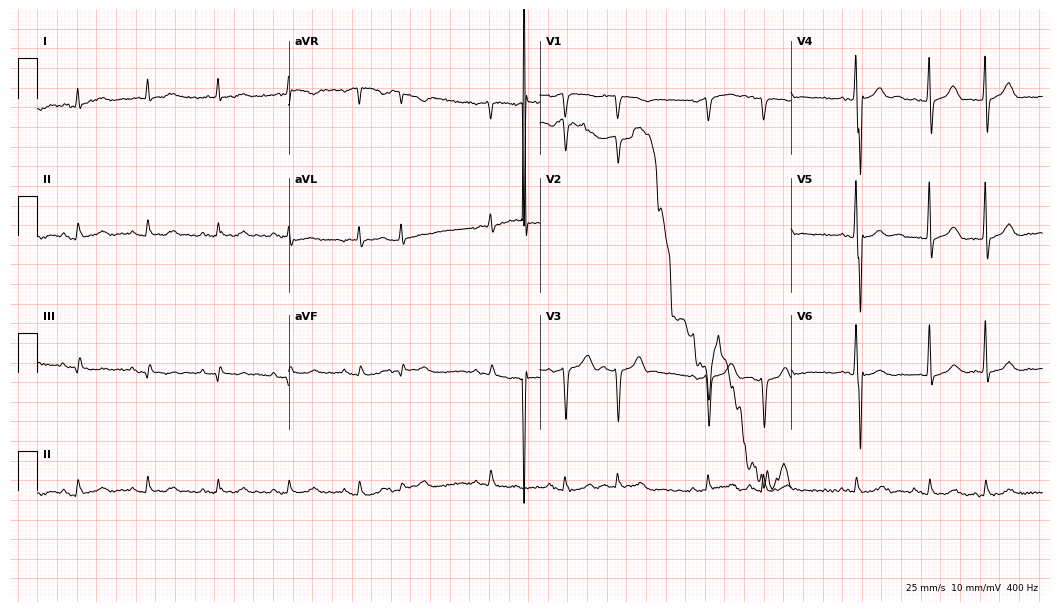
12-lead ECG from a female, 53 years old. Screened for six findings — first-degree AV block, right bundle branch block, left bundle branch block, sinus bradycardia, atrial fibrillation, sinus tachycardia — none is recorded. Findings outside these six are not listed.